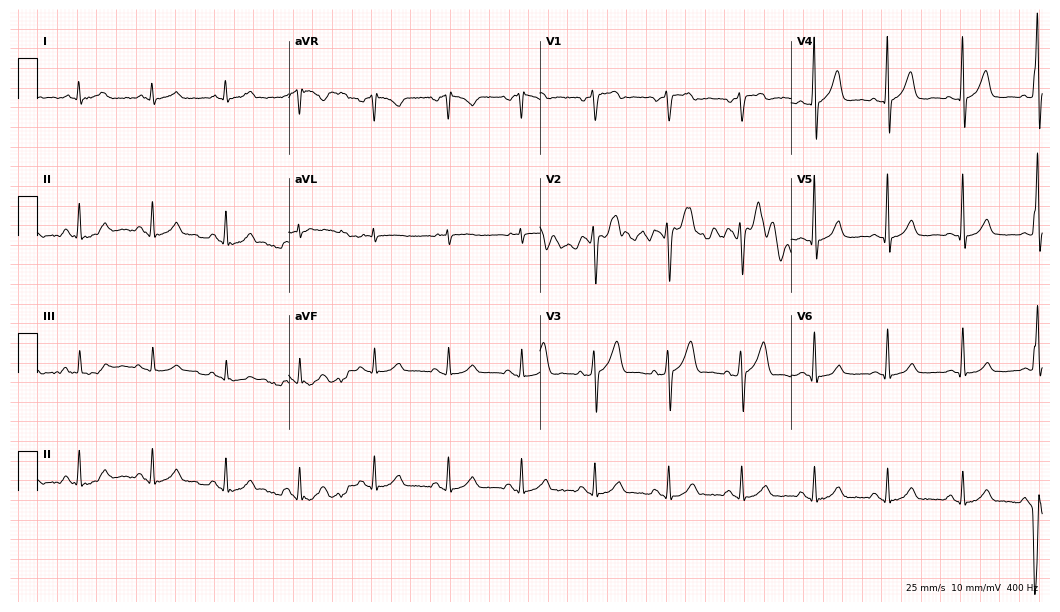
Standard 12-lead ECG recorded from a male, 70 years old (10.2-second recording at 400 Hz). Read as a normal ECG.